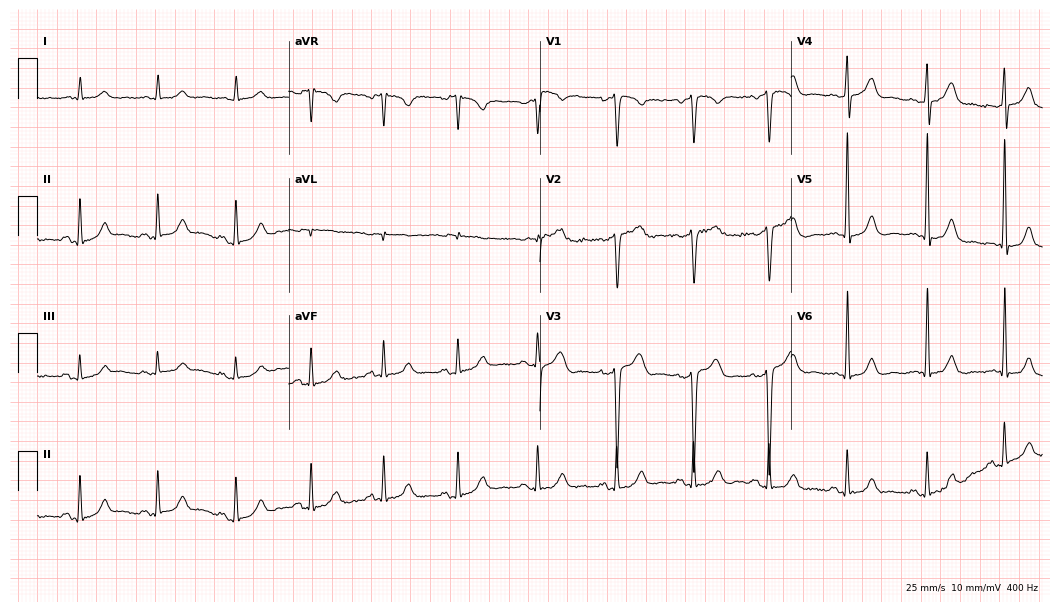
12-lead ECG (10.2-second recording at 400 Hz) from a male patient, 71 years old. Labelled as a normal ECG.